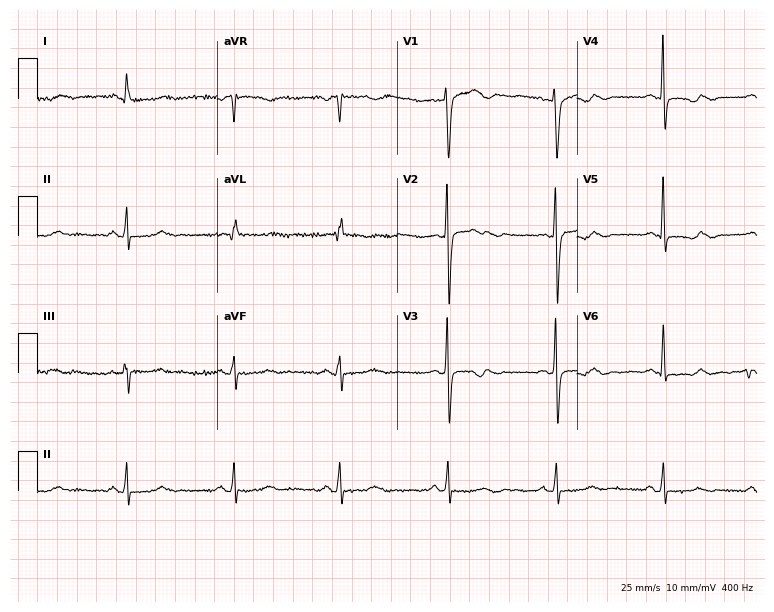
12-lead ECG from a female patient, 52 years old (7.3-second recording at 400 Hz). No first-degree AV block, right bundle branch block, left bundle branch block, sinus bradycardia, atrial fibrillation or sinus tachycardia recorded for this tracing.